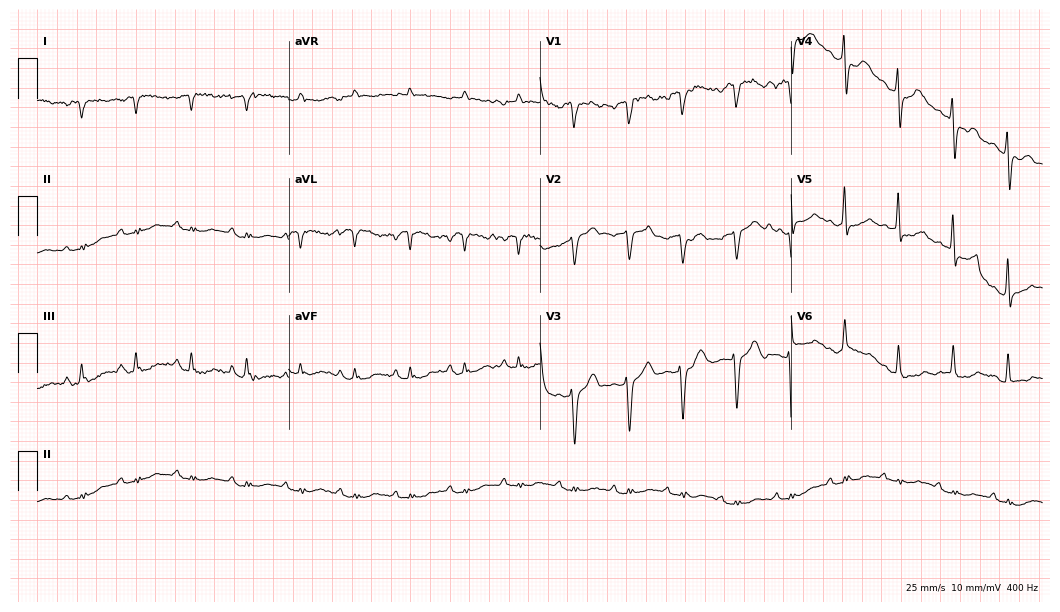
ECG (10.2-second recording at 400 Hz) — a male patient, 82 years old. Screened for six findings — first-degree AV block, right bundle branch block (RBBB), left bundle branch block (LBBB), sinus bradycardia, atrial fibrillation (AF), sinus tachycardia — none is recorded. Only these six findings were labelled.